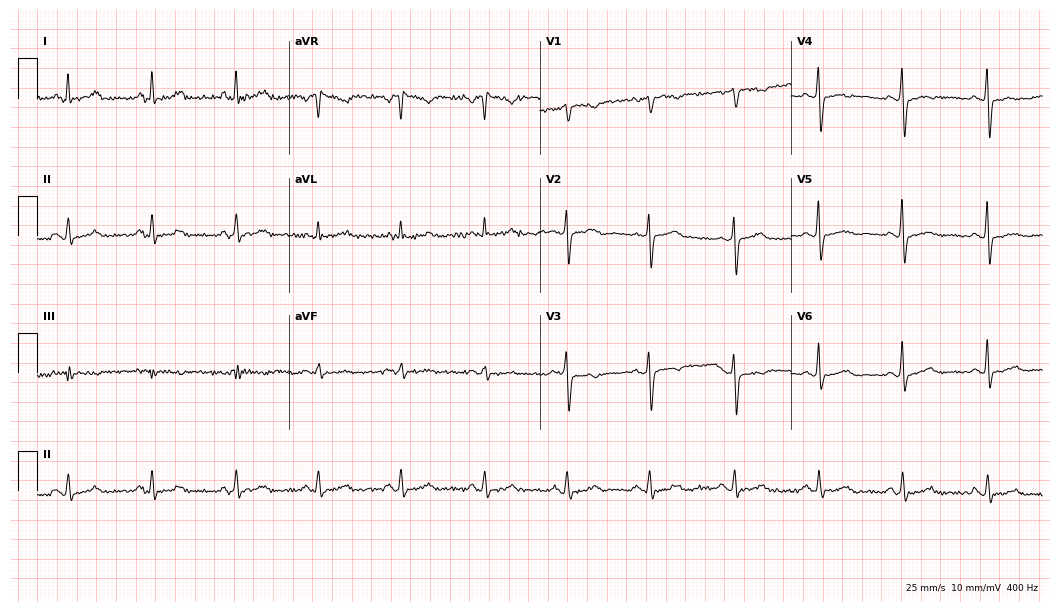
12-lead ECG from a 56-year-old female. Recorded interpretation: within normal limits.